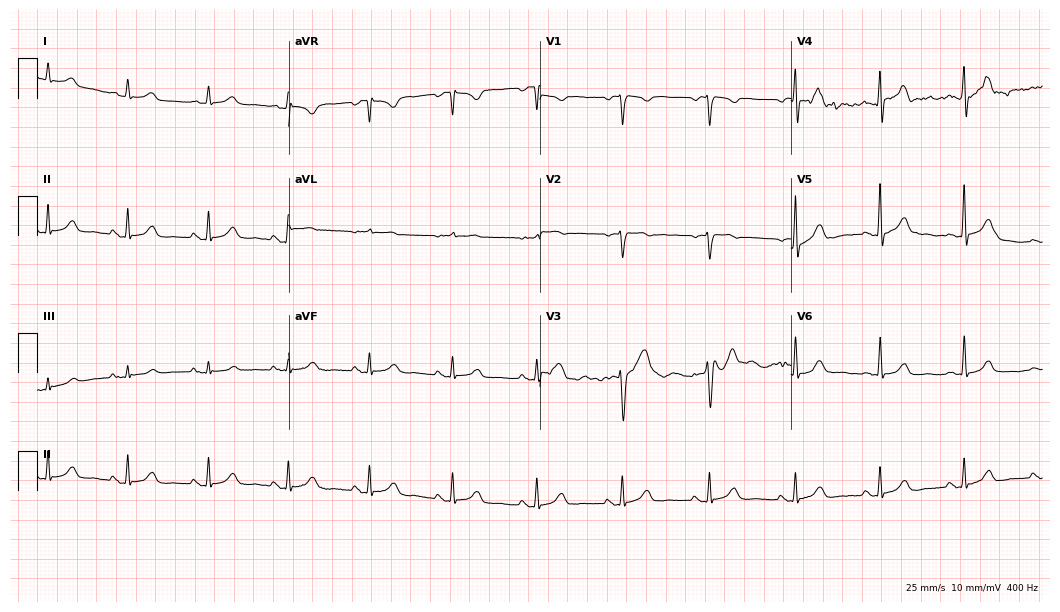
Electrocardiogram (10.2-second recording at 400 Hz), a male, 58 years old. Overall reading on record: normal ECG.